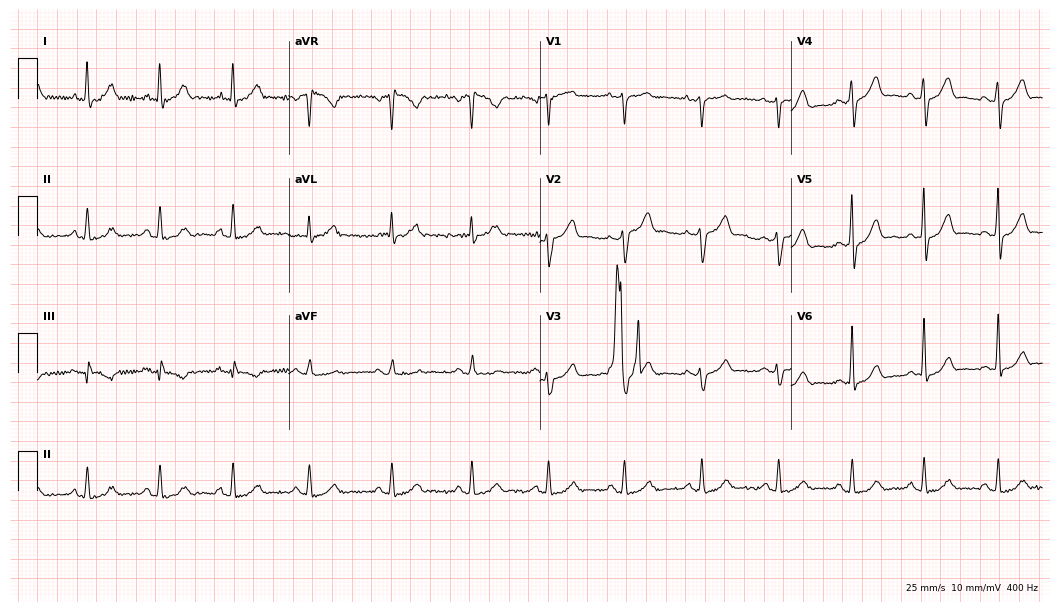
Electrocardiogram, a 42-year-old male patient. Of the six screened findings (first-degree AV block, right bundle branch block (RBBB), left bundle branch block (LBBB), sinus bradycardia, atrial fibrillation (AF), sinus tachycardia), none is recorded. Findings outside these six are not listed.